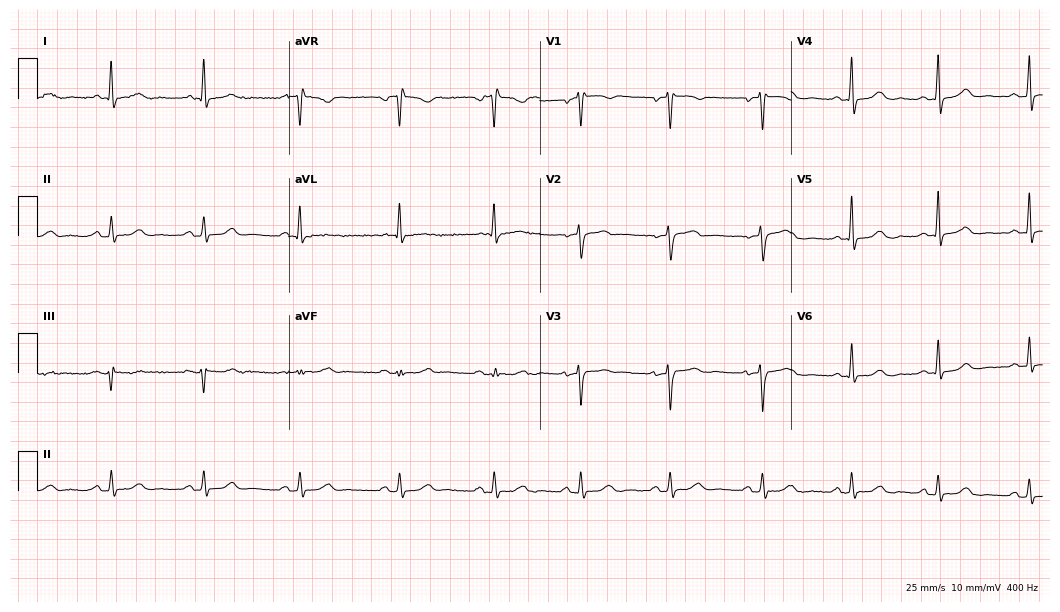
ECG (10.2-second recording at 400 Hz) — a 62-year-old female patient. Labelled as a normal ECG.